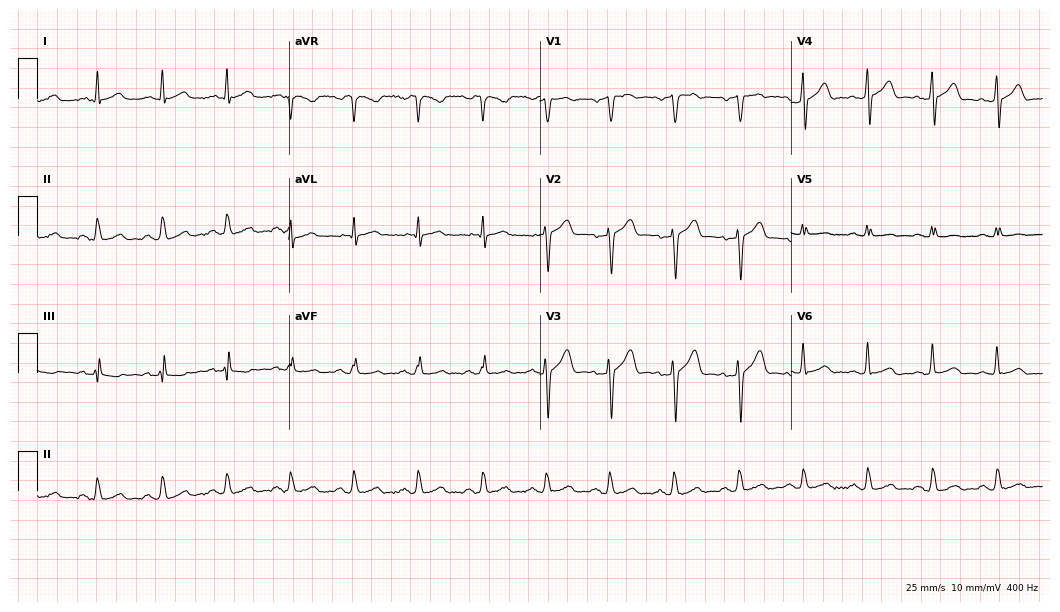
12-lead ECG from a 46-year-old man. No first-degree AV block, right bundle branch block, left bundle branch block, sinus bradycardia, atrial fibrillation or sinus tachycardia recorded for this tracing.